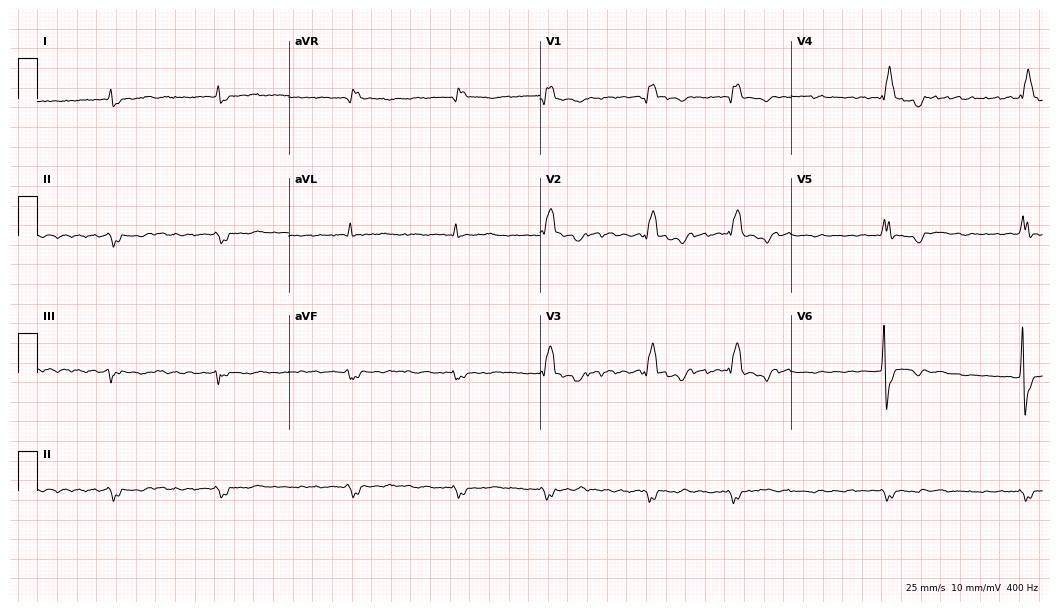
Standard 12-lead ECG recorded from a female patient, 79 years old (10.2-second recording at 400 Hz). The tracing shows right bundle branch block, atrial fibrillation.